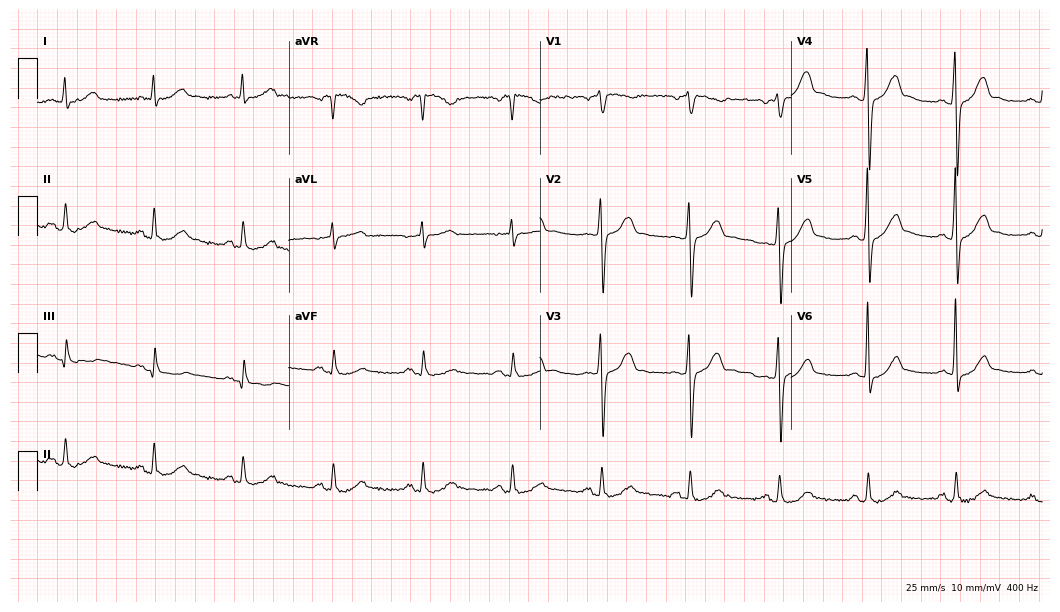
Electrocardiogram, a man, 57 years old. Overall reading on record: normal ECG.